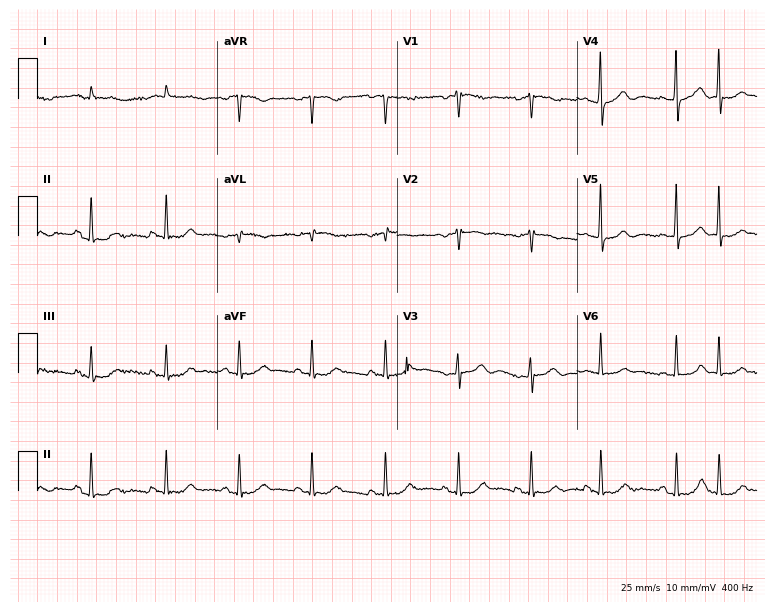
Electrocardiogram, a man, 74 years old. Of the six screened findings (first-degree AV block, right bundle branch block (RBBB), left bundle branch block (LBBB), sinus bradycardia, atrial fibrillation (AF), sinus tachycardia), none is recorded.